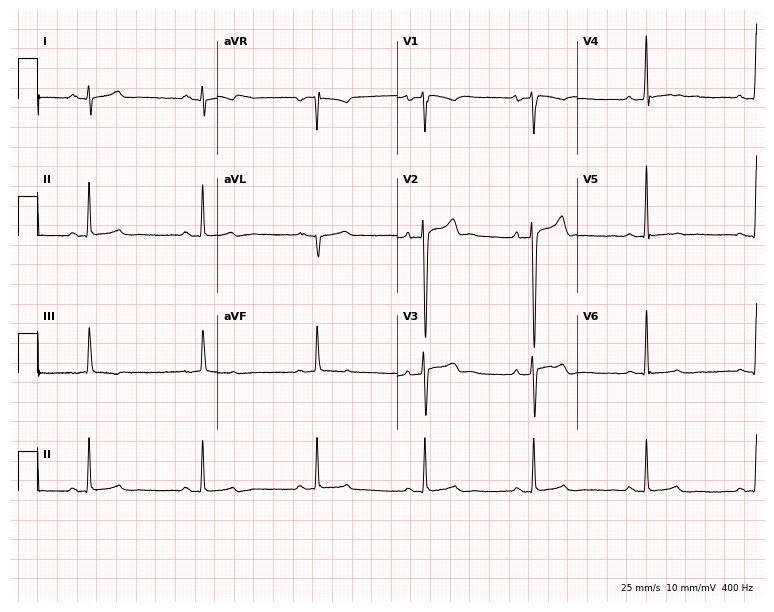
12-lead ECG from a male, 25 years old. Labelled as a normal ECG.